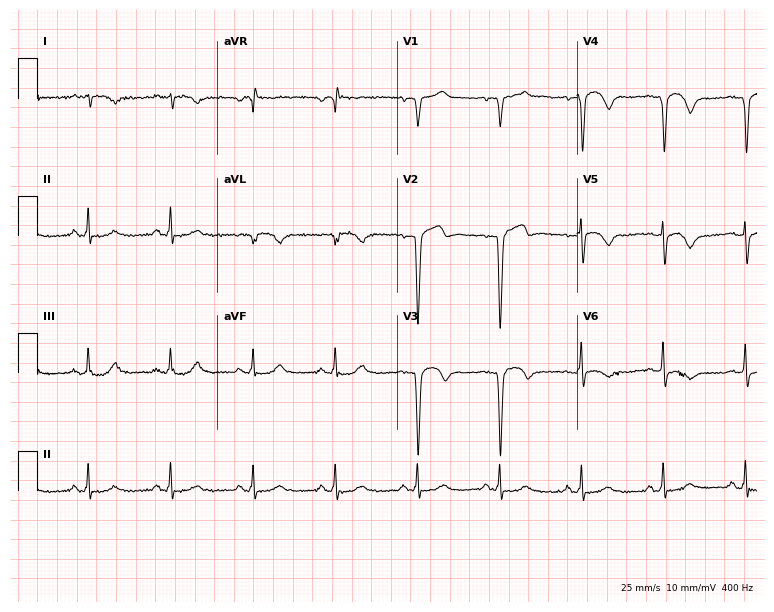
12-lead ECG (7.3-second recording at 400 Hz) from a male patient, 46 years old. Screened for six findings — first-degree AV block, right bundle branch block, left bundle branch block, sinus bradycardia, atrial fibrillation, sinus tachycardia — none is recorded.